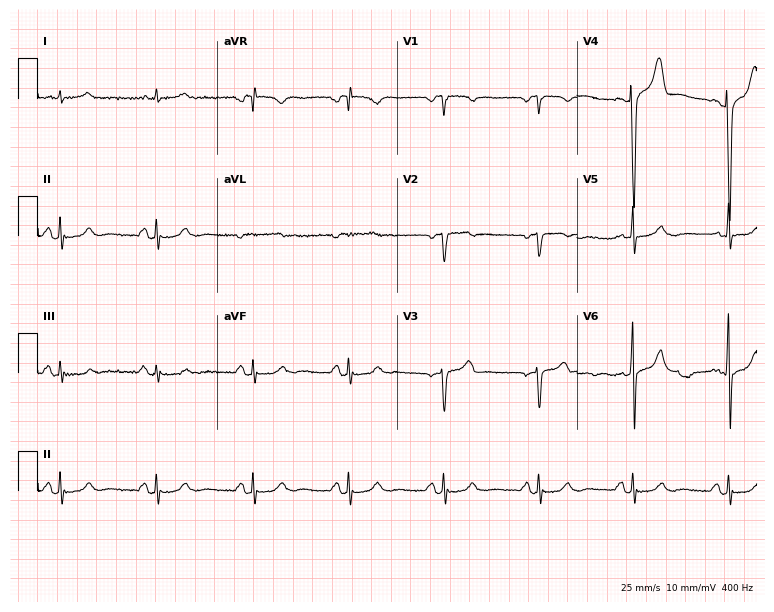
ECG (7.3-second recording at 400 Hz) — a 71-year-old male. Labelled as a normal ECG.